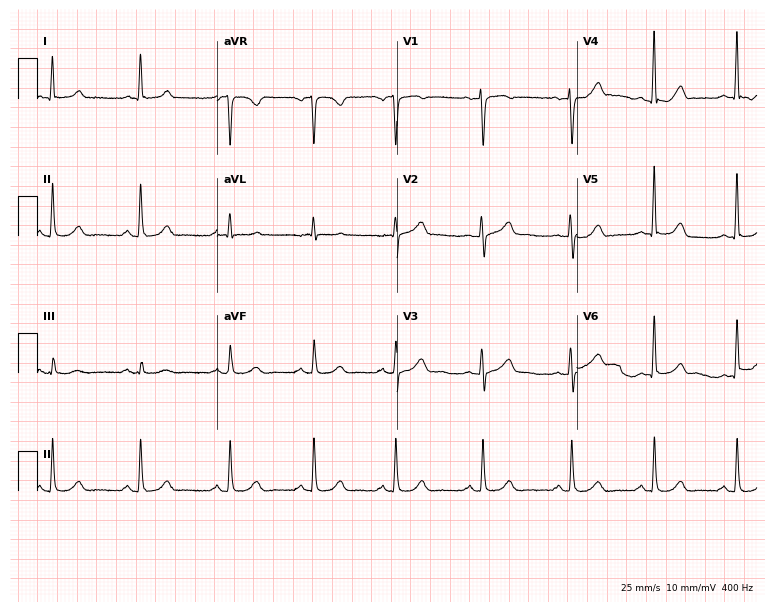
Standard 12-lead ECG recorded from a female patient, 67 years old. Read as a normal ECG.